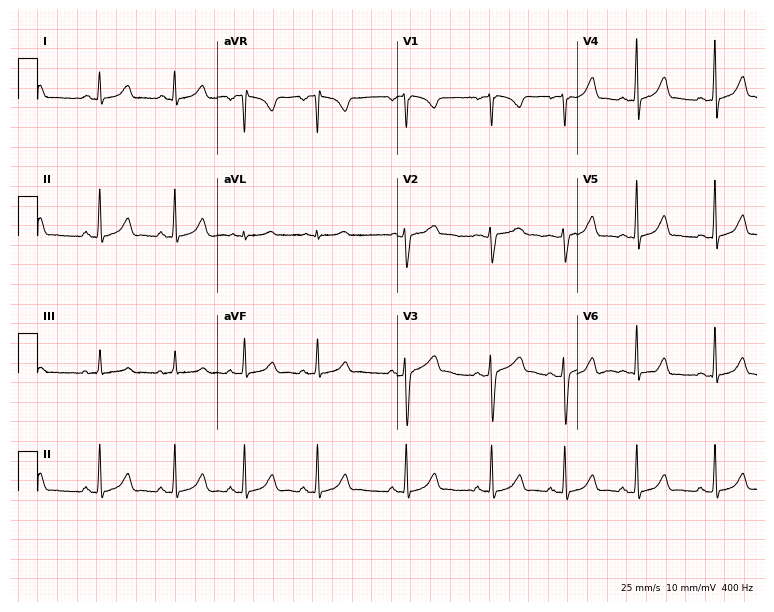
Resting 12-lead electrocardiogram. Patient: a female, 29 years old. Read as a normal ECG.